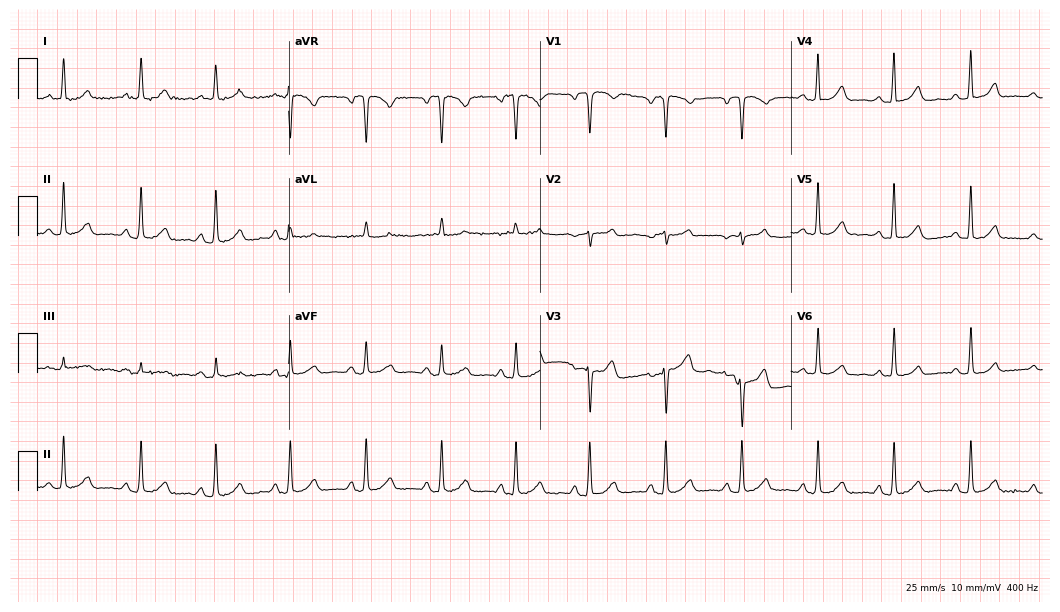
12-lead ECG from a female patient, 63 years old. Screened for six findings — first-degree AV block, right bundle branch block, left bundle branch block, sinus bradycardia, atrial fibrillation, sinus tachycardia — none is recorded.